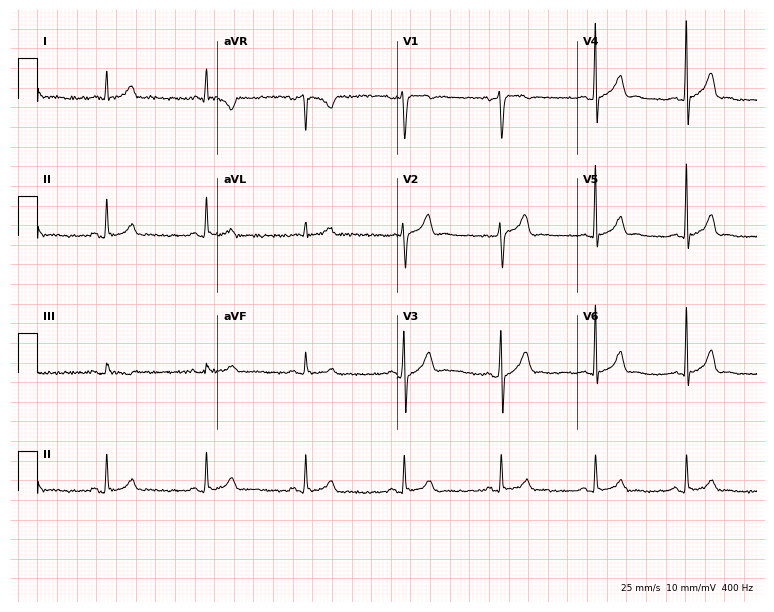
ECG (7.3-second recording at 400 Hz) — a 35-year-old man. Labelled as a normal ECG.